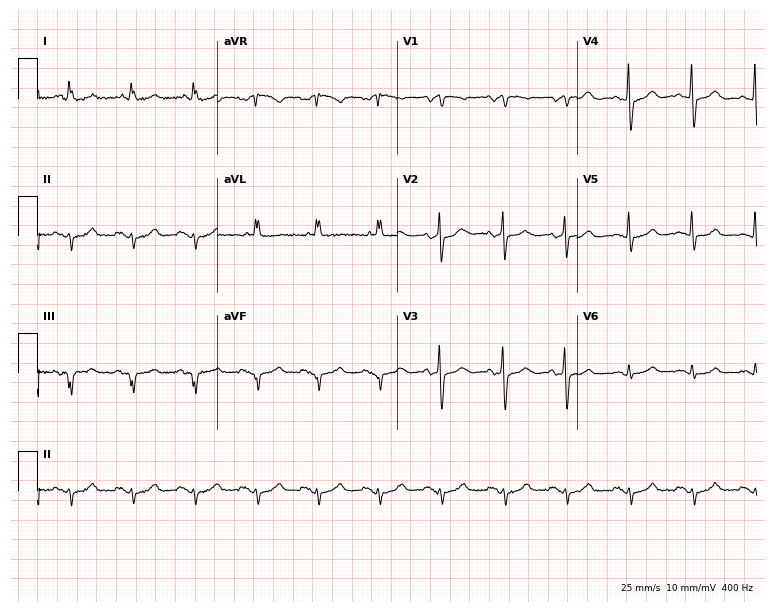
ECG — a female, 84 years old. Screened for six findings — first-degree AV block, right bundle branch block, left bundle branch block, sinus bradycardia, atrial fibrillation, sinus tachycardia — none is recorded.